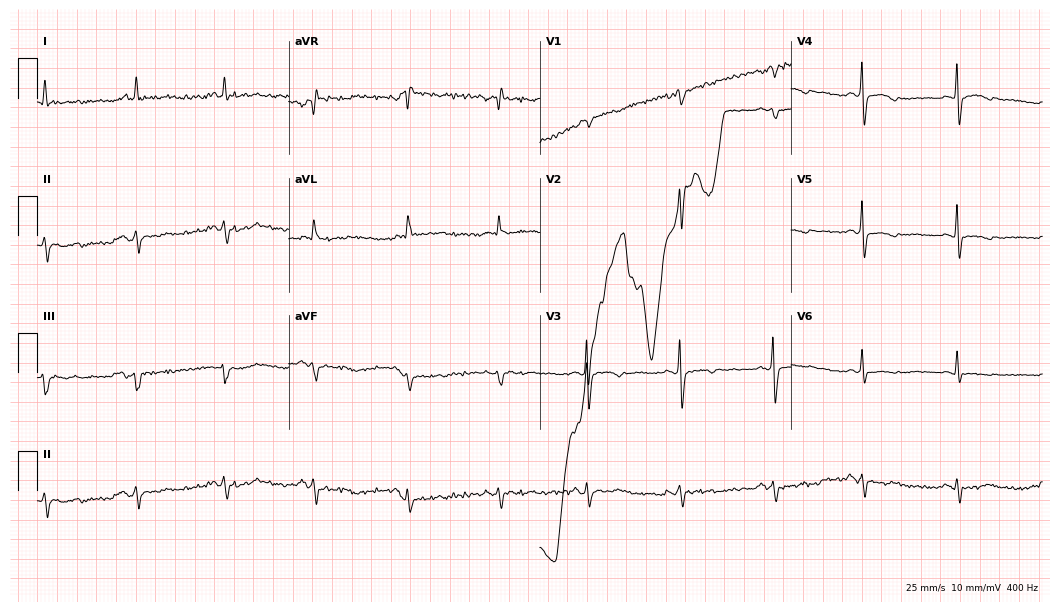
Resting 12-lead electrocardiogram. Patient: a female, 69 years old. None of these six findings is recorded: first-degree AV block, right bundle branch block, left bundle branch block, sinus bradycardia, atrial fibrillation, sinus tachycardia. Only these six findings were labelled.